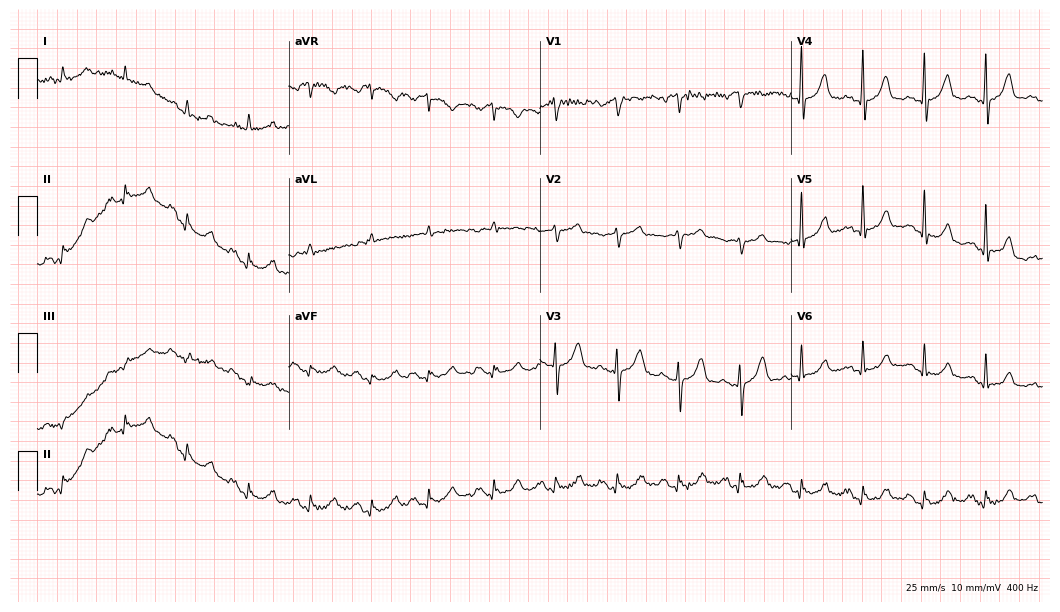
12-lead ECG (10.2-second recording at 400 Hz) from a 71-year-old female. Screened for six findings — first-degree AV block, right bundle branch block (RBBB), left bundle branch block (LBBB), sinus bradycardia, atrial fibrillation (AF), sinus tachycardia — none is recorded.